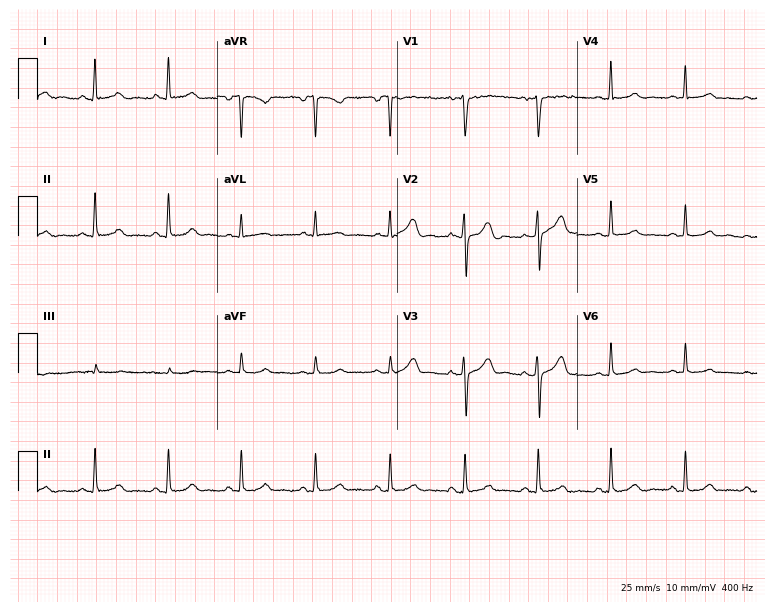
Resting 12-lead electrocardiogram (7.3-second recording at 400 Hz). Patient: a 56-year-old female. Read as a normal ECG.